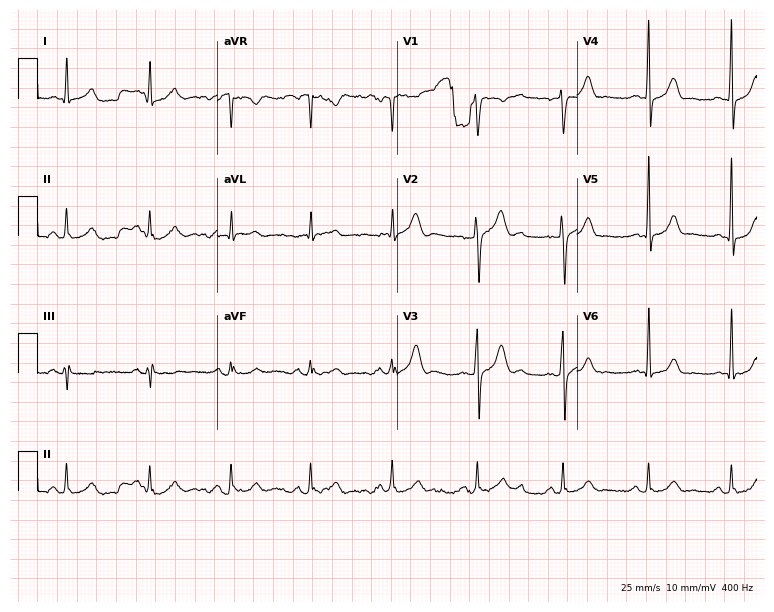
12-lead ECG from a 44-year-old man. Recorded interpretation: within normal limits.